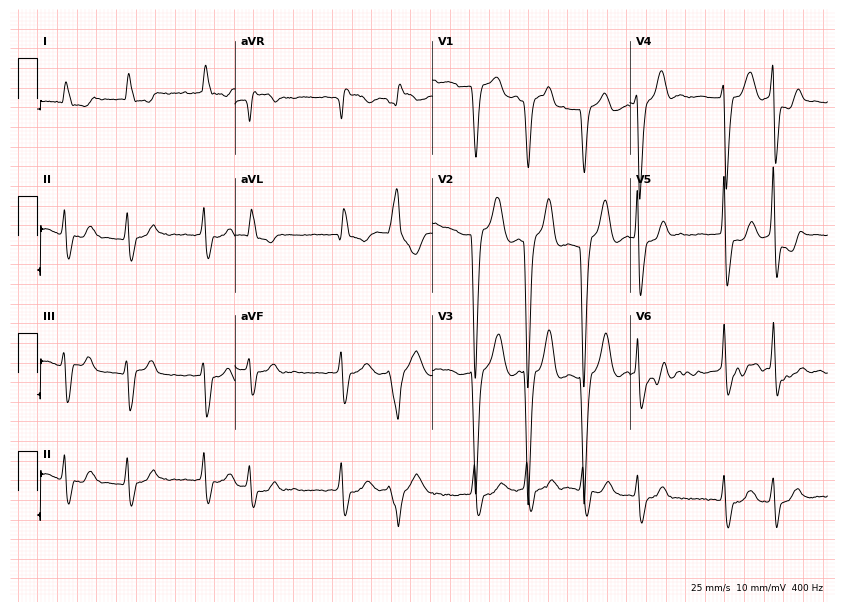
Electrocardiogram, an 81-year-old male. Interpretation includes left bundle branch block (LBBB), atrial fibrillation (AF).